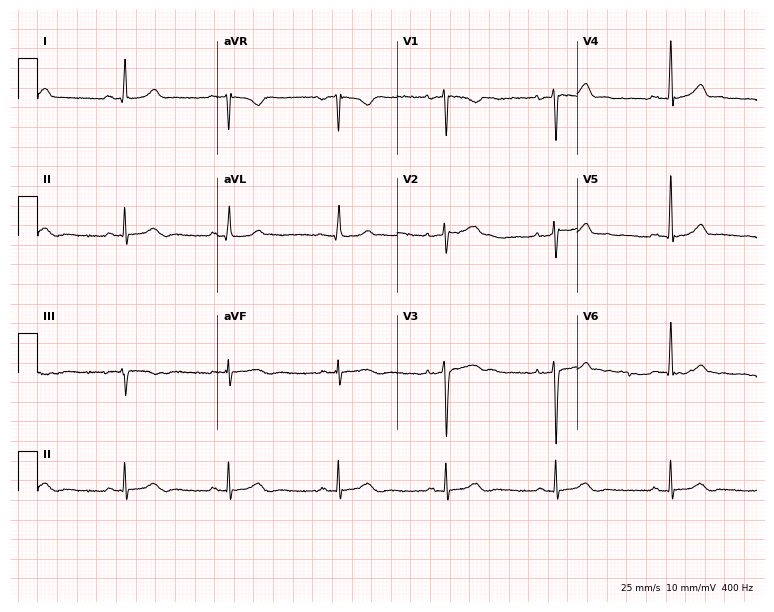
Resting 12-lead electrocardiogram. Patient: a 42-year-old female. Read as a normal ECG.